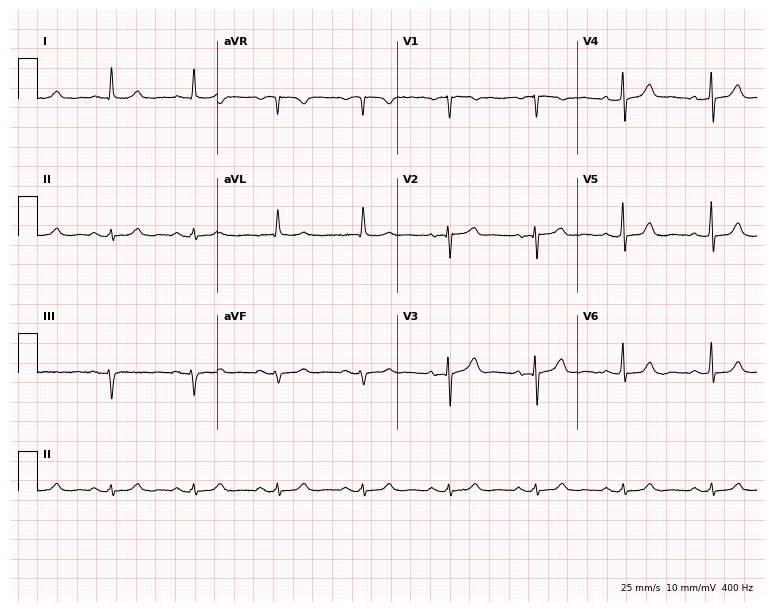
12-lead ECG from a male patient, 85 years old (7.3-second recording at 400 Hz). Recorded interpretation: within normal limits.